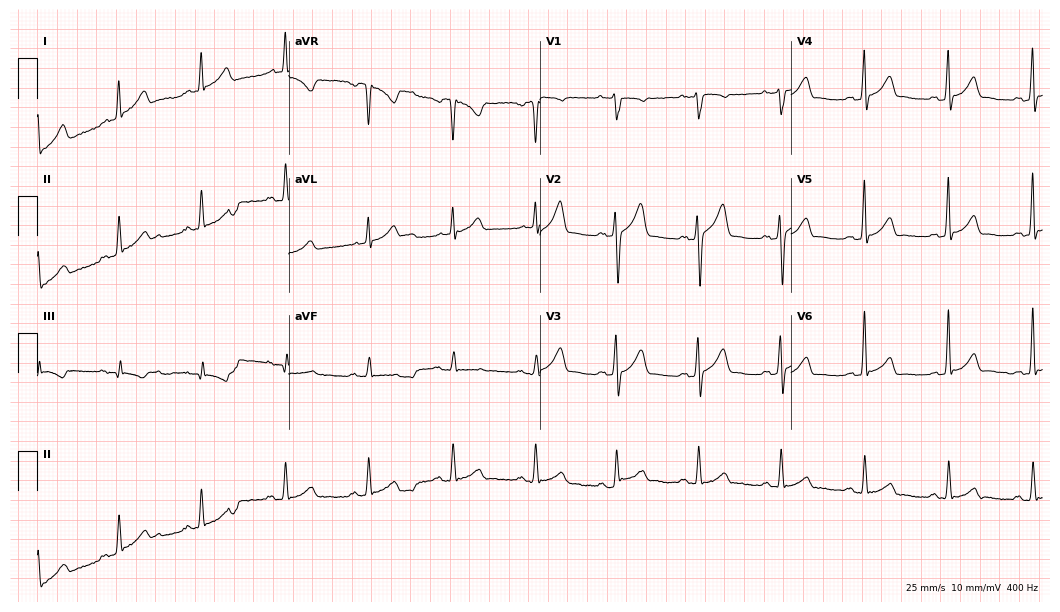
12-lead ECG from a 36-year-old male. Screened for six findings — first-degree AV block, right bundle branch block, left bundle branch block, sinus bradycardia, atrial fibrillation, sinus tachycardia — none is recorded. Findings outside these six are not listed.